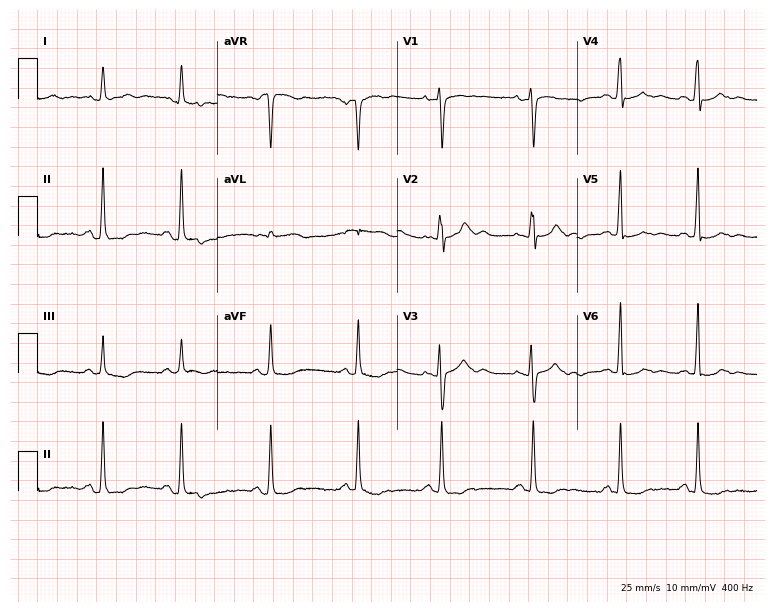
Standard 12-lead ECG recorded from a woman, 34 years old (7.3-second recording at 400 Hz). None of these six findings is recorded: first-degree AV block, right bundle branch block, left bundle branch block, sinus bradycardia, atrial fibrillation, sinus tachycardia. Only these six findings were labelled.